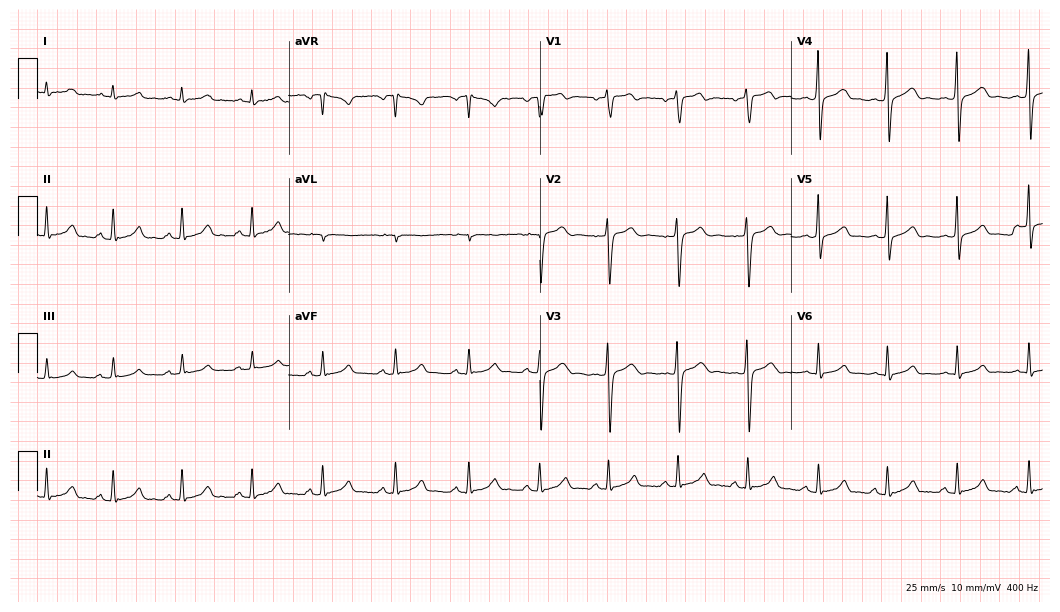
Resting 12-lead electrocardiogram (10.2-second recording at 400 Hz). Patient: a male, 17 years old. Read as a normal ECG.